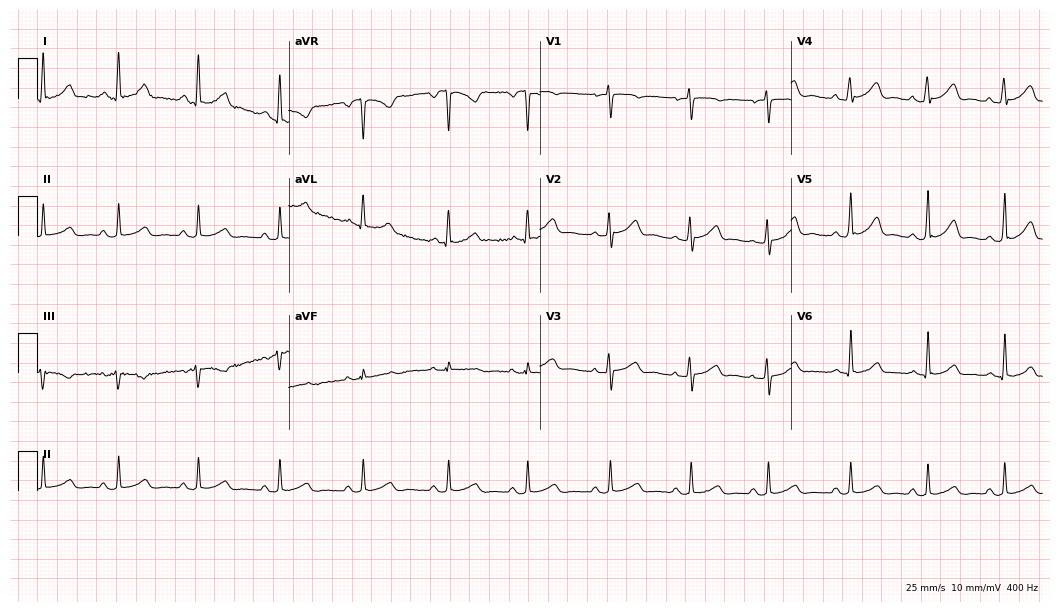
Electrocardiogram, a female, 24 years old. Of the six screened findings (first-degree AV block, right bundle branch block, left bundle branch block, sinus bradycardia, atrial fibrillation, sinus tachycardia), none is recorded. Findings outside these six are not listed.